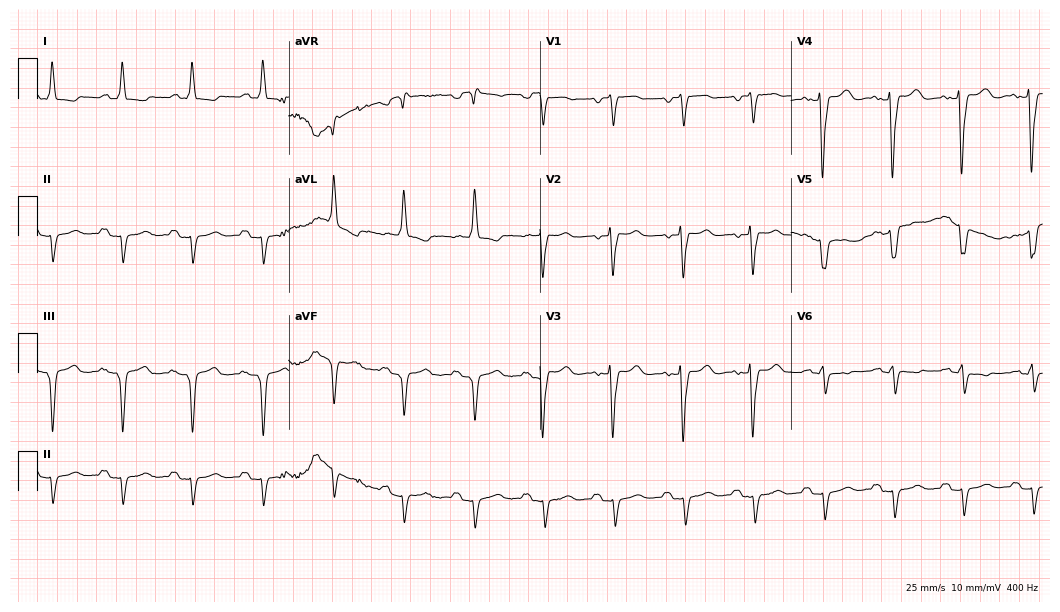
Standard 12-lead ECG recorded from a man, 72 years old (10.2-second recording at 400 Hz). None of these six findings is recorded: first-degree AV block, right bundle branch block (RBBB), left bundle branch block (LBBB), sinus bradycardia, atrial fibrillation (AF), sinus tachycardia. Findings outside these six are not listed.